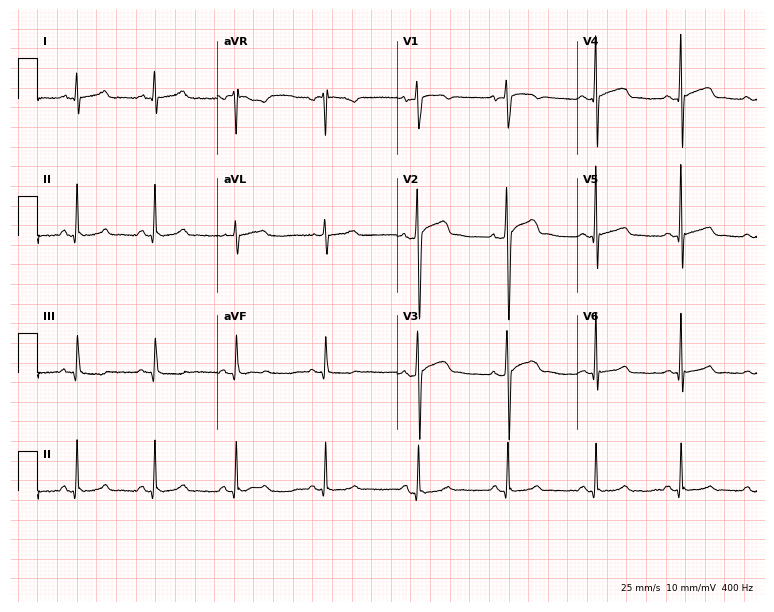
12-lead ECG (7.3-second recording at 400 Hz) from a male, 35 years old. Screened for six findings — first-degree AV block, right bundle branch block, left bundle branch block, sinus bradycardia, atrial fibrillation, sinus tachycardia — none is recorded. Other findings, if any, are not listed.